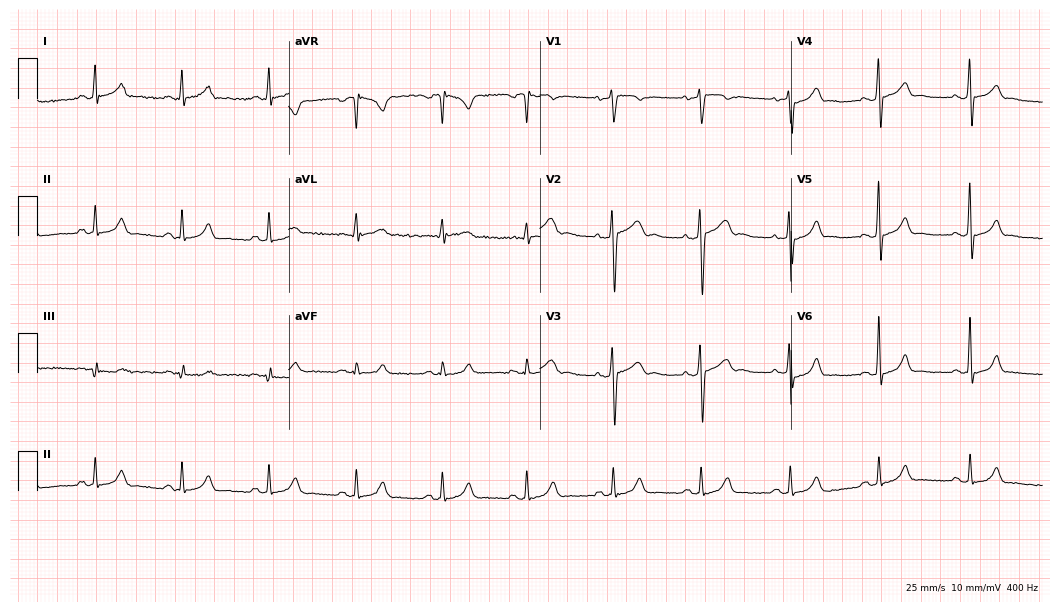
12-lead ECG from a man, 28 years old. Recorded interpretation: within normal limits.